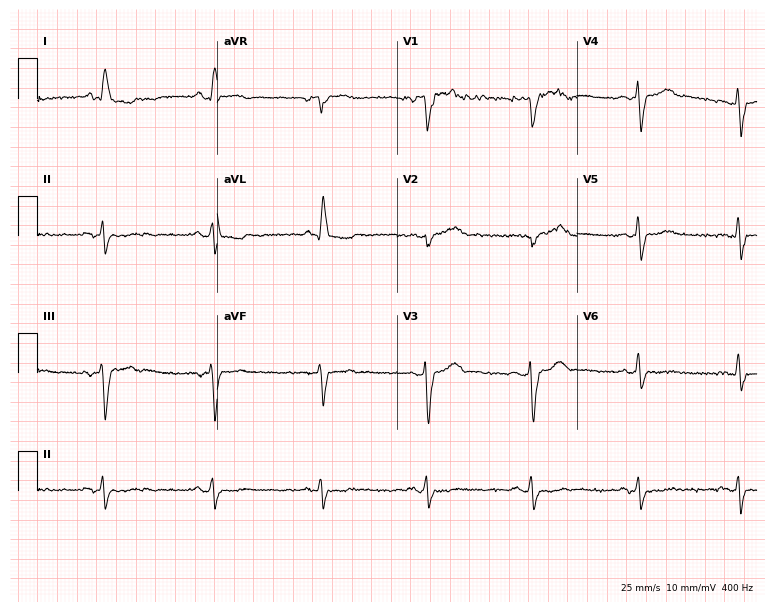
12-lead ECG from a male, 75 years old. Shows left bundle branch block.